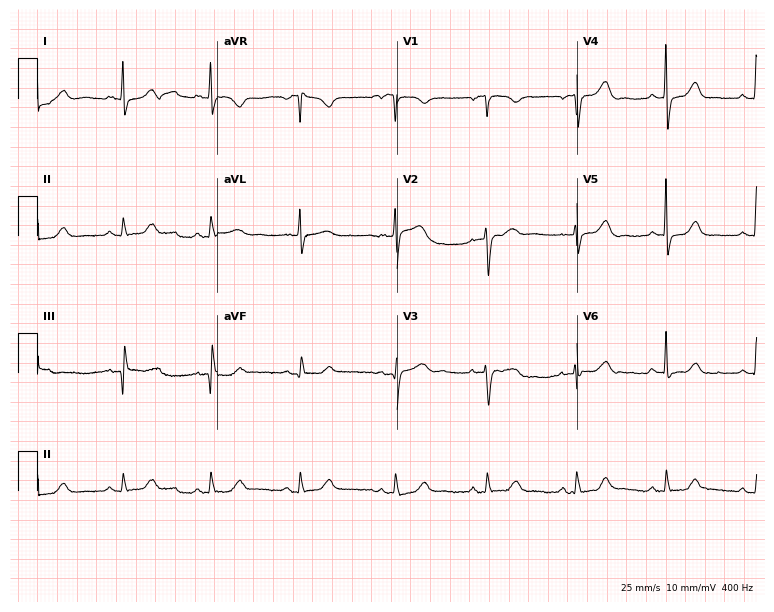
Standard 12-lead ECG recorded from a 69-year-old woman (7.3-second recording at 400 Hz). None of these six findings is recorded: first-degree AV block, right bundle branch block (RBBB), left bundle branch block (LBBB), sinus bradycardia, atrial fibrillation (AF), sinus tachycardia.